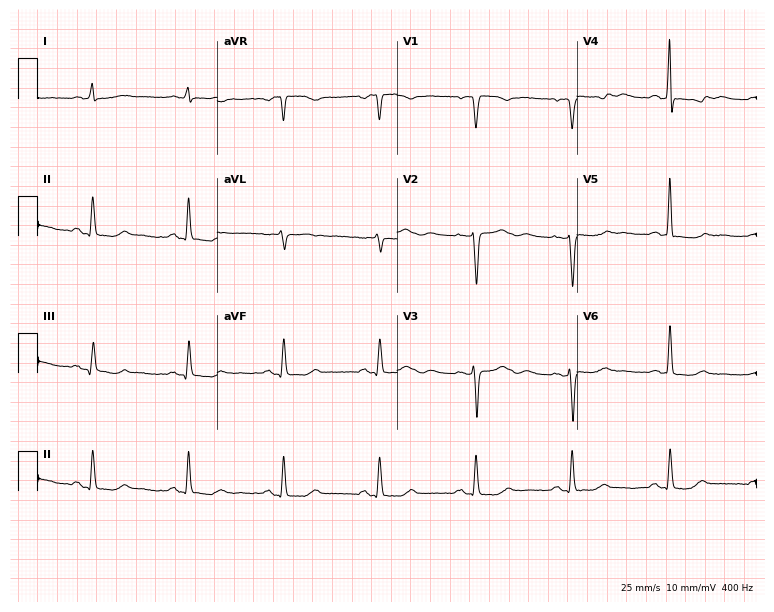
12-lead ECG from a 69-year-old woman (7.3-second recording at 400 Hz). No first-degree AV block, right bundle branch block, left bundle branch block, sinus bradycardia, atrial fibrillation or sinus tachycardia recorded for this tracing. Other findings, if any, are not listed.